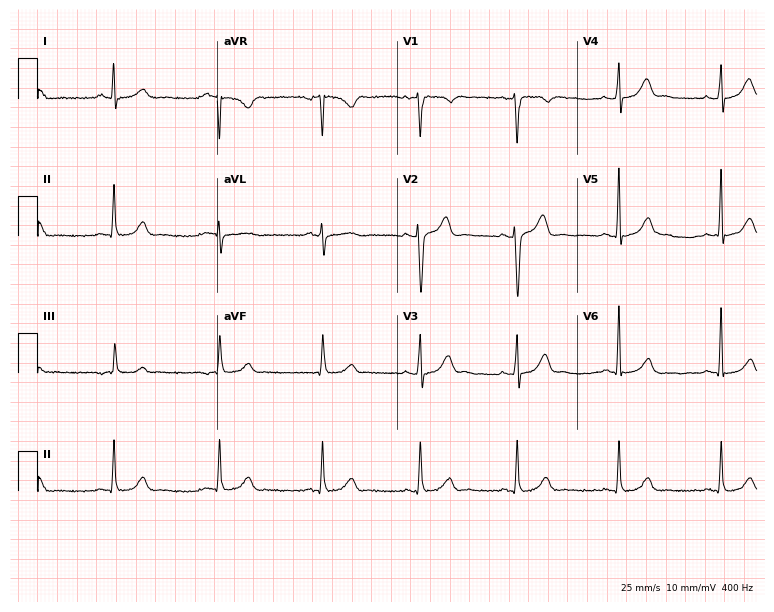
12-lead ECG from a male, 35 years old (7.3-second recording at 400 Hz). Recorded interpretation: within normal limits.